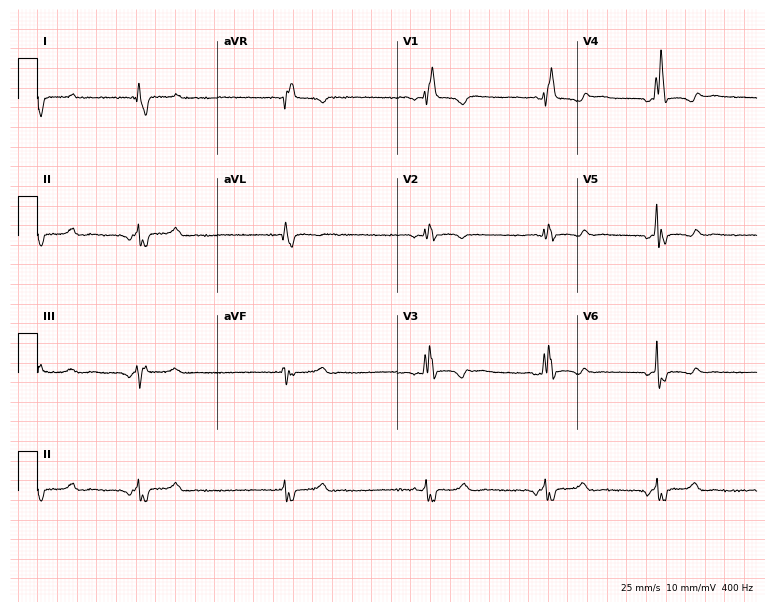
Standard 12-lead ECG recorded from a woman, 65 years old. None of these six findings is recorded: first-degree AV block, right bundle branch block, left bundle branch block, sinus bradycardia, atrial fibrillation, sinus tachycardia.